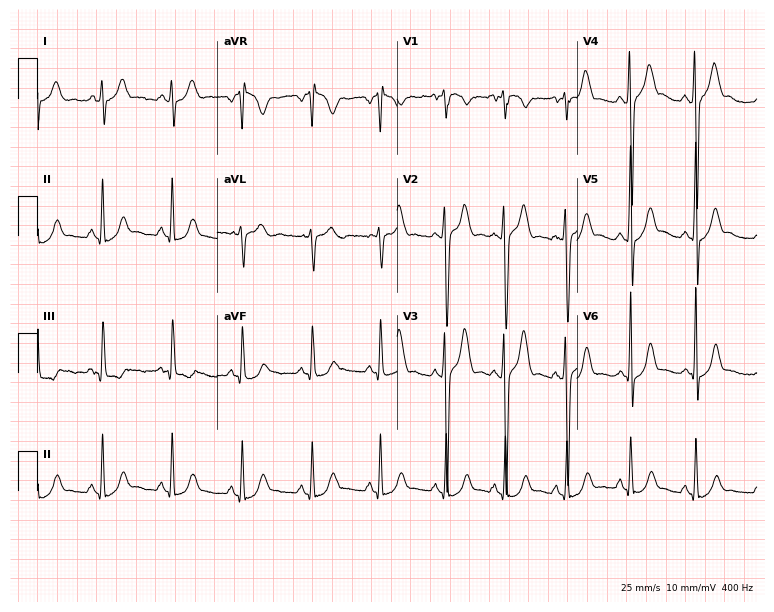
12-lead ECG from a male patient, 23 years old (7.3-second recording at 400 Hz). No first-degree AV block, right bundle branch block, left bundle branch block, sinus bradycardia, atrial fibrillation or sinus tachycardia recorded for this tracing.